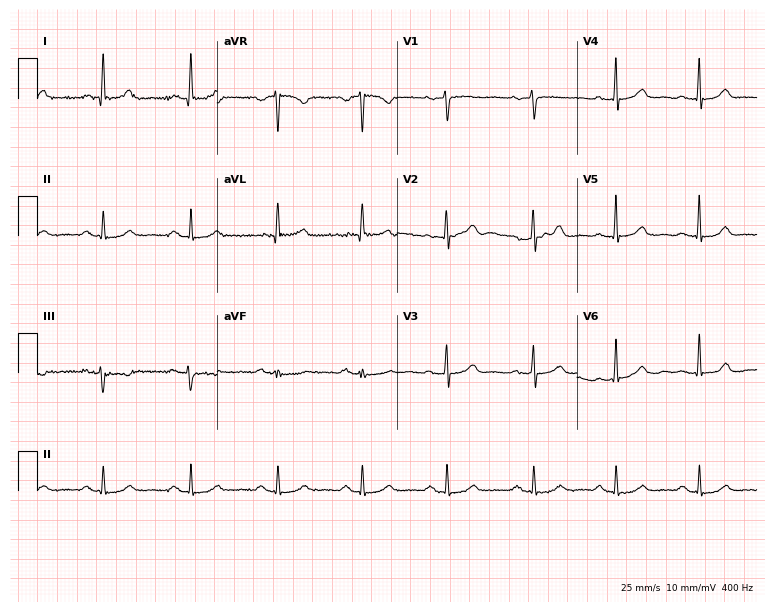
Resting 12-lead electrocardiogram. Patient: a 65-year-old female. Read as a normal ECG.